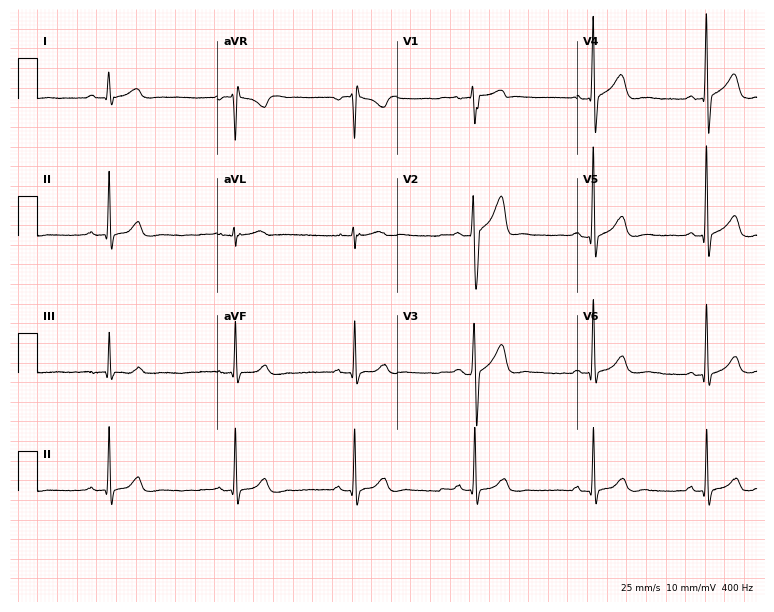
Resting 12-lead electrocardiogram (7.3-second recording at 400 Hz). Patient: a male, 67 years old. None of these six findings is recorded: first-degree AV block, right bundle branch block, left bundle branch block, sinus bradycardia, atrial fibrillation, sinus tachycardia.